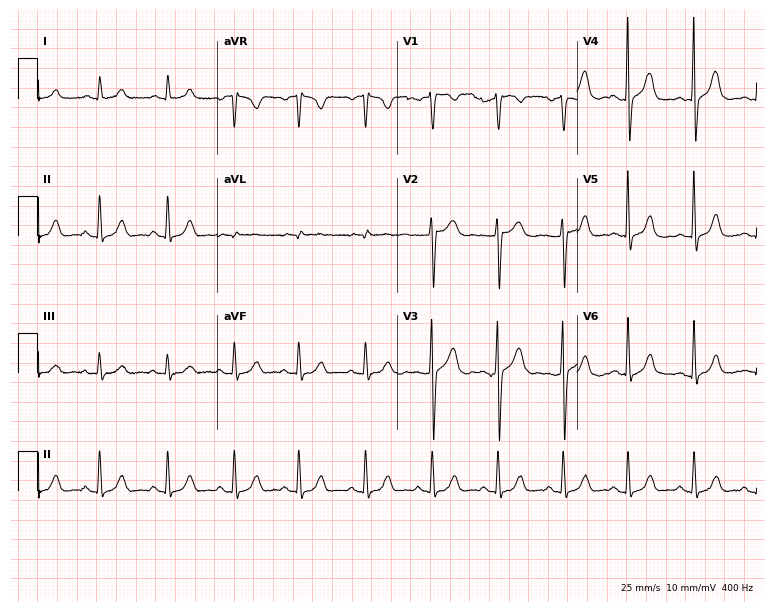
ECG (7.3-second recording at 400 Hz) — a 61-year-old female patient. Screened for six findings — first-degree AV block, right bundle branch block, left bundle branch block, sinus bradycardia, atrial fibrillation, sinus tachycardia — none is recorded.